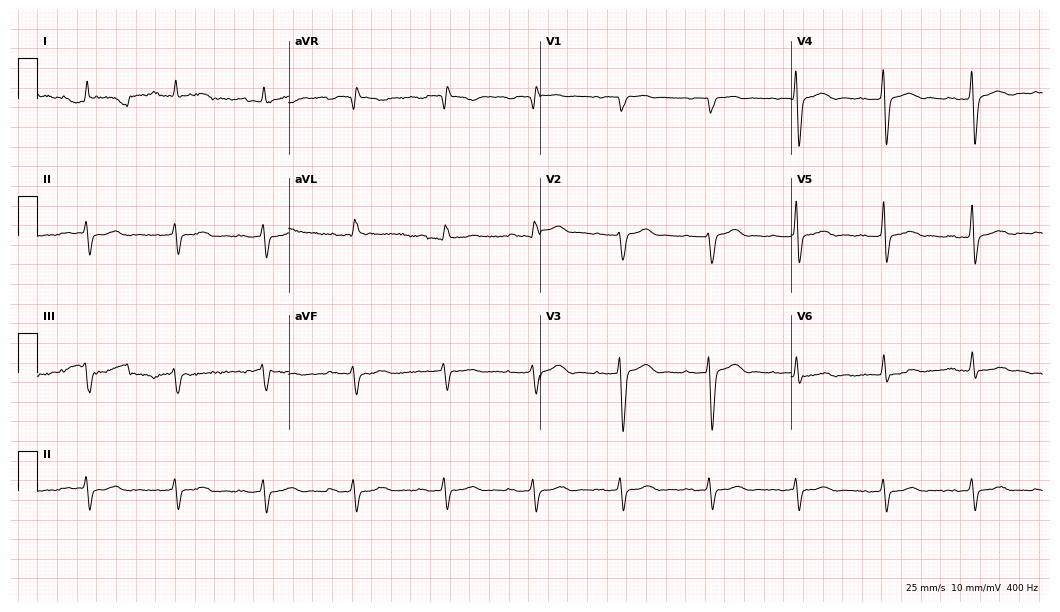
Resting 12-lead electrocardiogram. Patient: a 61-year-old male. None of these six findings is recorded: first-degree AV block, right bundle branch block, left bundle branch block, sinus bradycardia, atrial fibrillation, sinus tachycardia. Only these six findings were labelled.